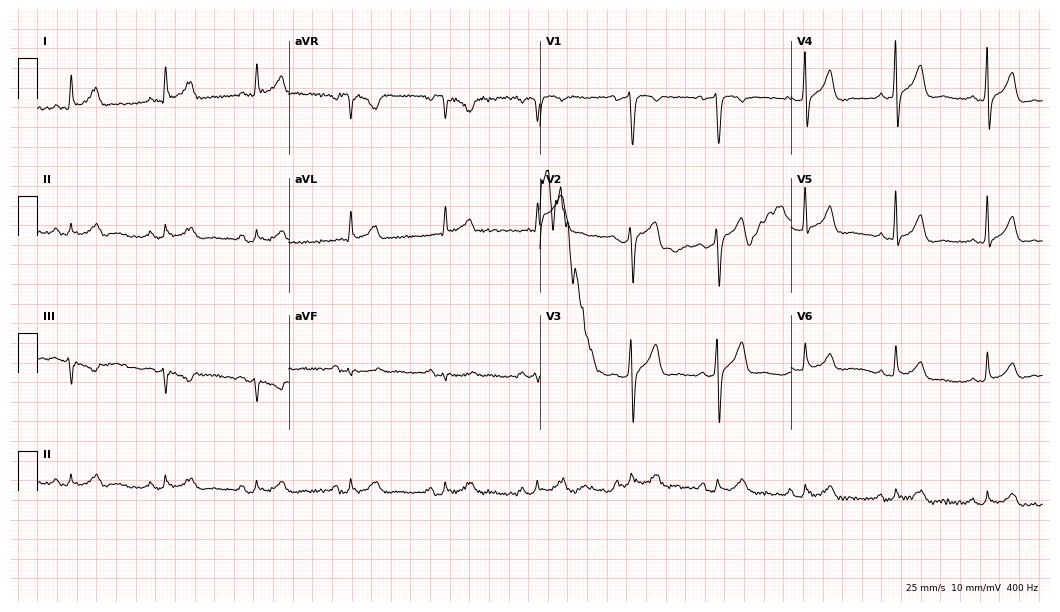
Electrocardiogram (10.2-second recording at 400 Hz), a 54-year-old man. Of the six screened findings (first-degree AV block, right bundle branch block (RBBB), left bundle branch block (LBBB), sinus bradycardia, atrial fibrillation (AF), sinus tachycardia), none is recorded.